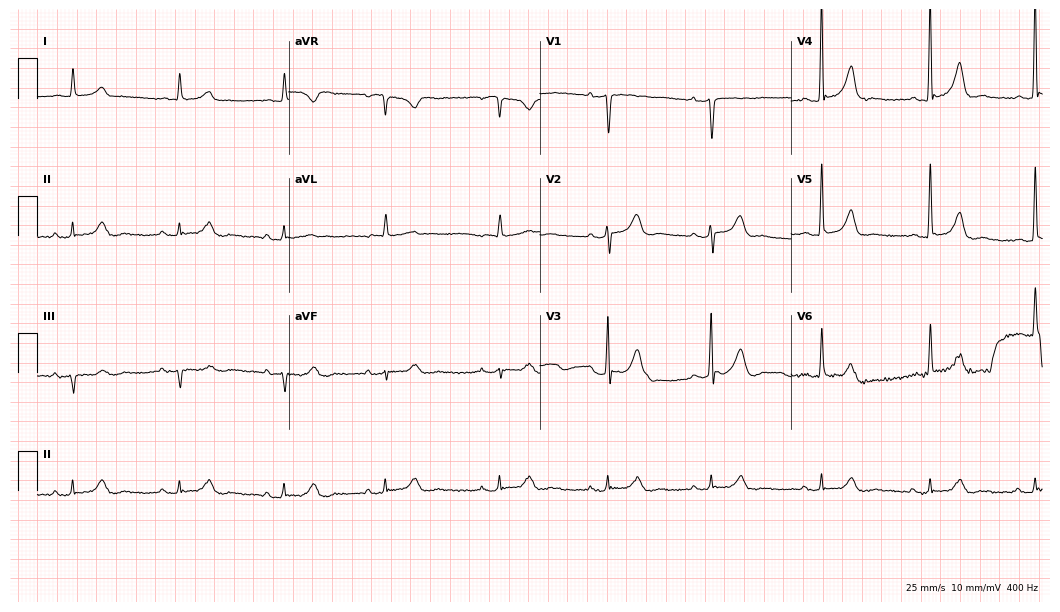
Standard 12-lead ECG recorded from a 75-year-old woman (10.2-second recording at 400 Hz). None of these six findings is recorded: first-degree AV block, right bundle branch block, left bundle branch block, sinus bradycardia, atrial fibrillation, sinus tachycardia. Findings outside these six are not listed.